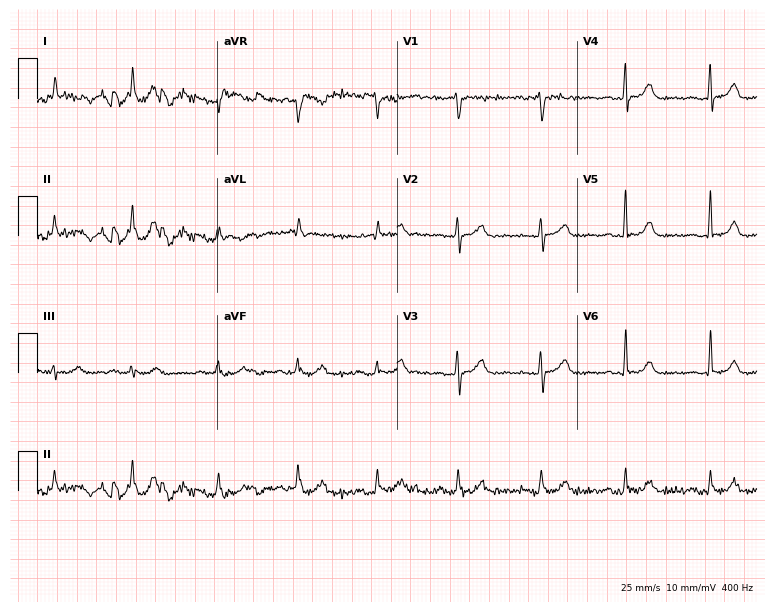
12-lead ECG from a male, 80 years old. Screened for six findings — first-degree AV block, right bundle branch block (RBBB), left bundle branch block (LBBB), sinus bradycardia, atrial fibrillation (AF), sinus tachycardia — none is recorded. Other findings, if any, are not listed.